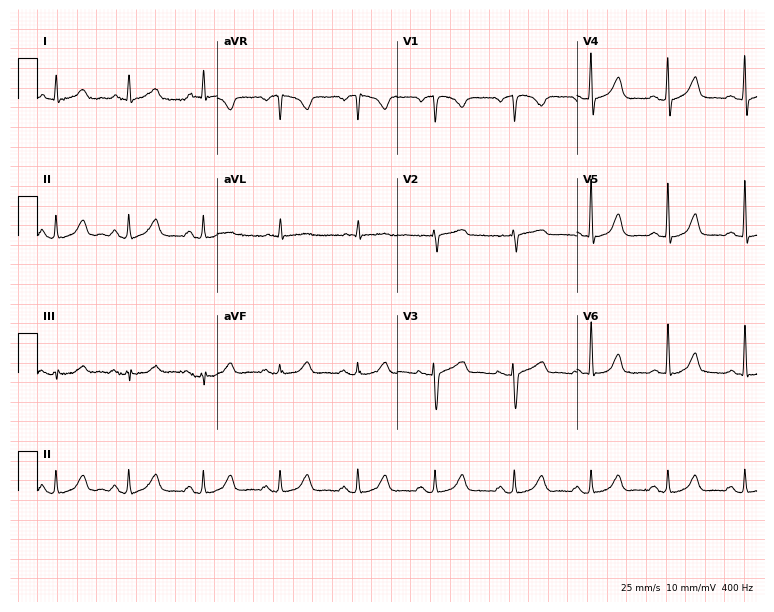
Resting 12-lead electrocardiogram. Patient: a 51-year-old woman. Read as a normal ECG.